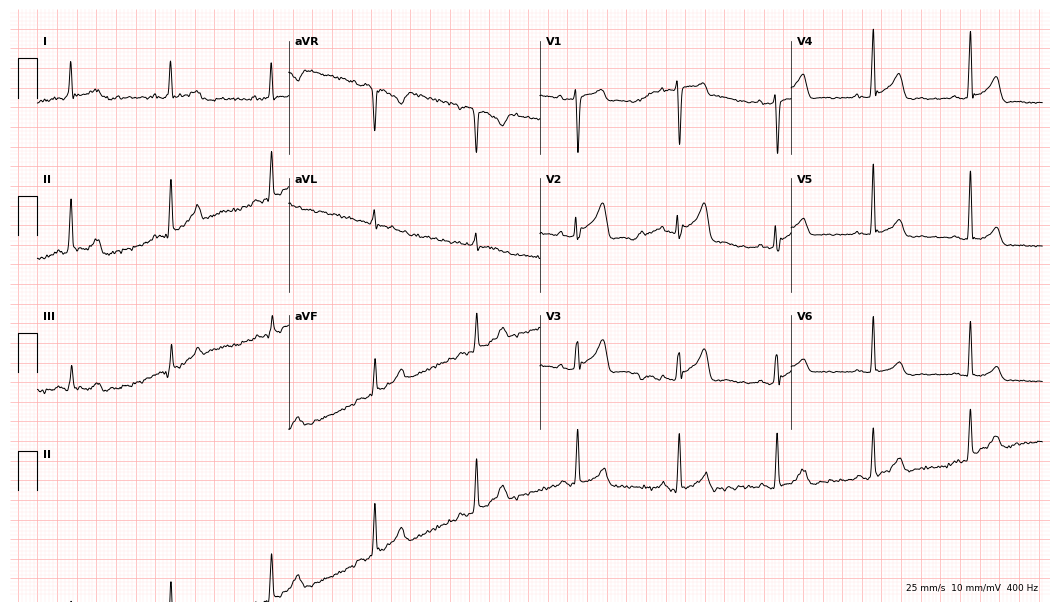
12-lead ECG (10.2-second recording at 400 Hz) from a 48-year-old male patient. Labelled as a normal ECG.